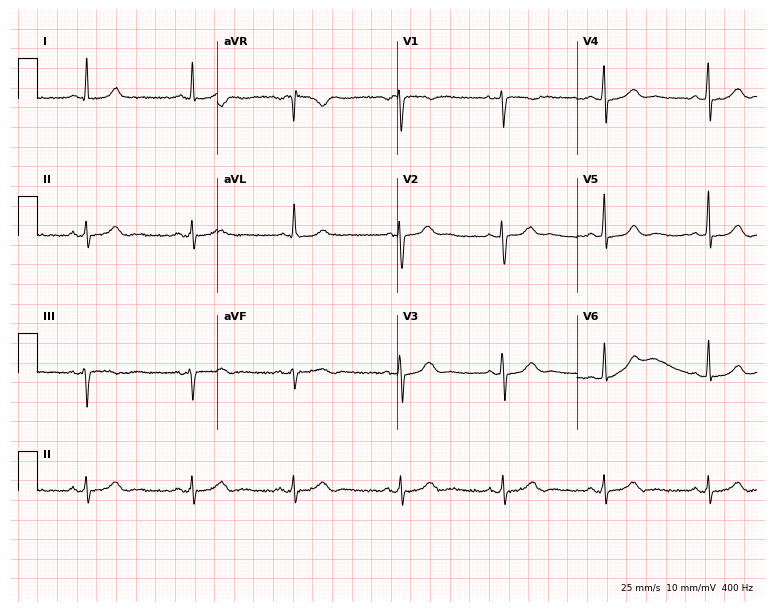
12-lead ECG from a 47-year-old female patient. Screened for six findings — first-degree AV block, right bundle branch block, left bundle branch block, sinus bradycardia, atrial fibrillation, sinus tachycardia — none is recorded.